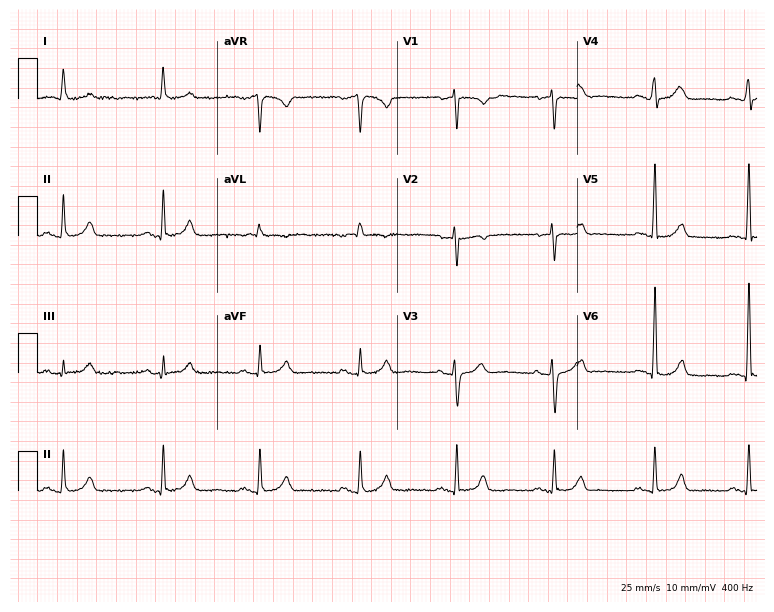
Electrocardiogram (7.3-second recording at 400 Hz), a female, 71 years old. Overall reading on record: normal ECG.